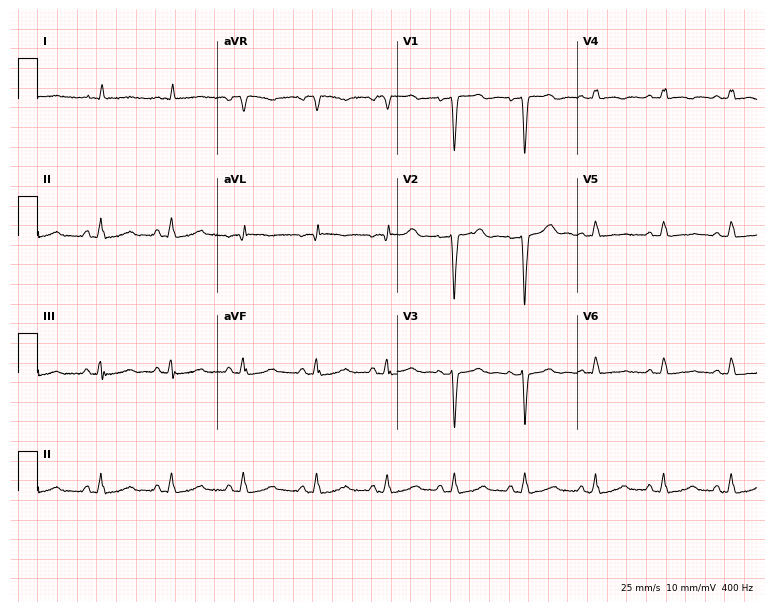
ECG — a female patient, 42 years old. Screened for six findings — first-degree AV block, right bundle branch block, left bundle branch block, sinus bradycardia, atrial fibrillation, sinus tachycardia — none is recorded.